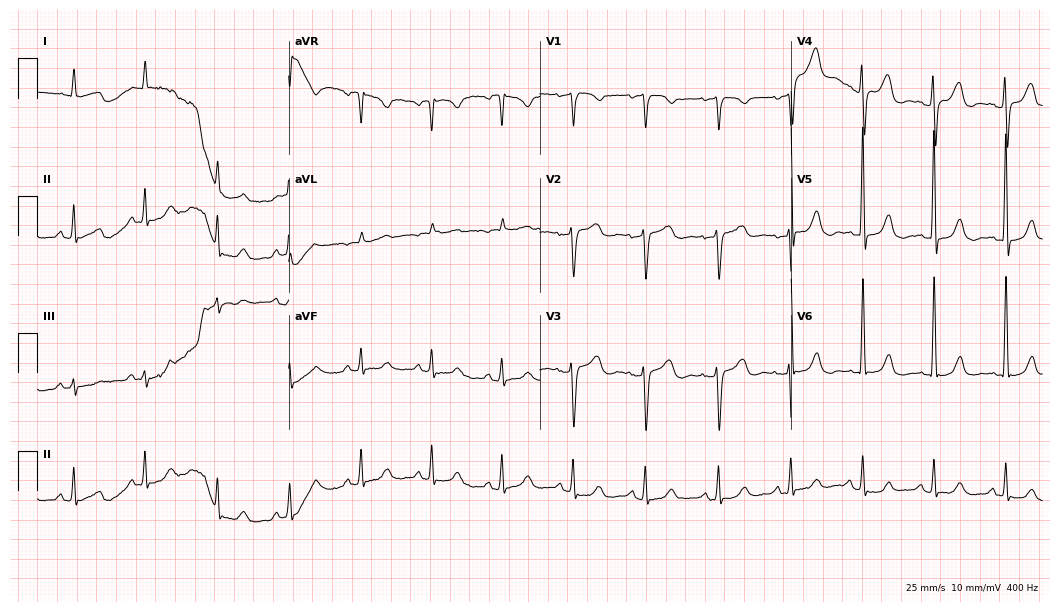
ECG — a female, 76 years old. Screened for six findings — first-degree AV block, right bundle branch block, left bundle branch block, sinus bradycardia, atrial fibrillation, sinus tachycardia — none is recorded.